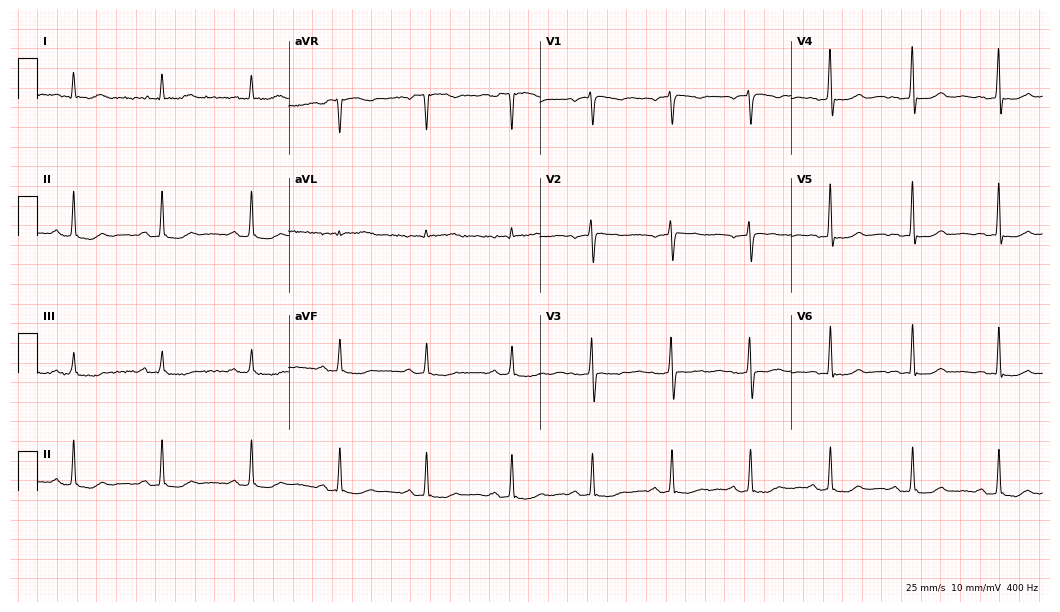
12-lead ECG from a 46-year-old female patient. Screened for six findings — first-degree AV block, right bundle branch block, left bundle branch block, sinus bradycardia, atrial fibrillation, sinus tachycardia — none is recorded.